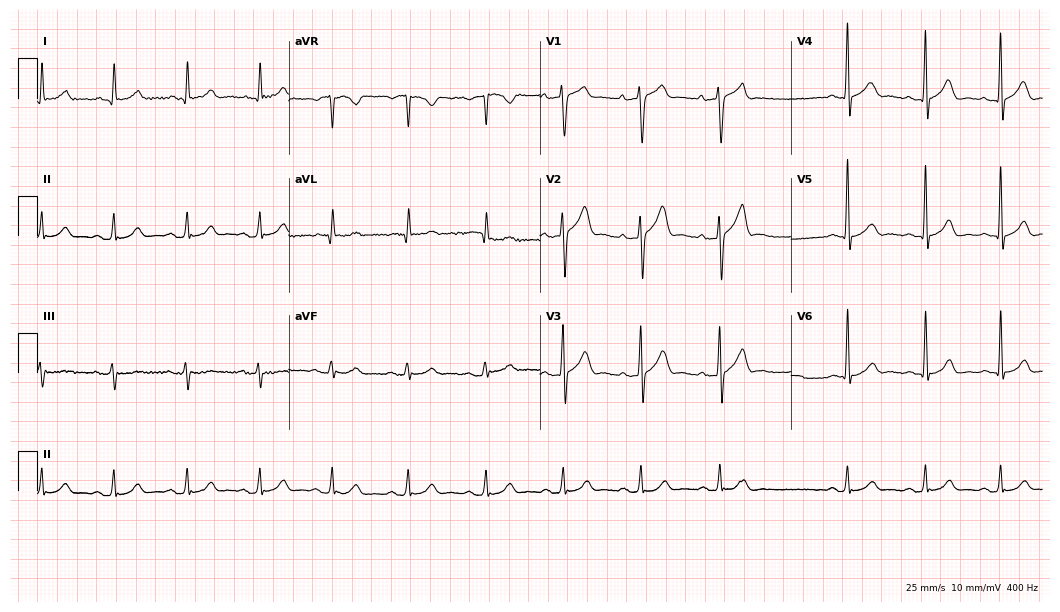
Resting 12-lead electrocardiogram. Patient: a male, 66 years old. Read as a normal ECG.